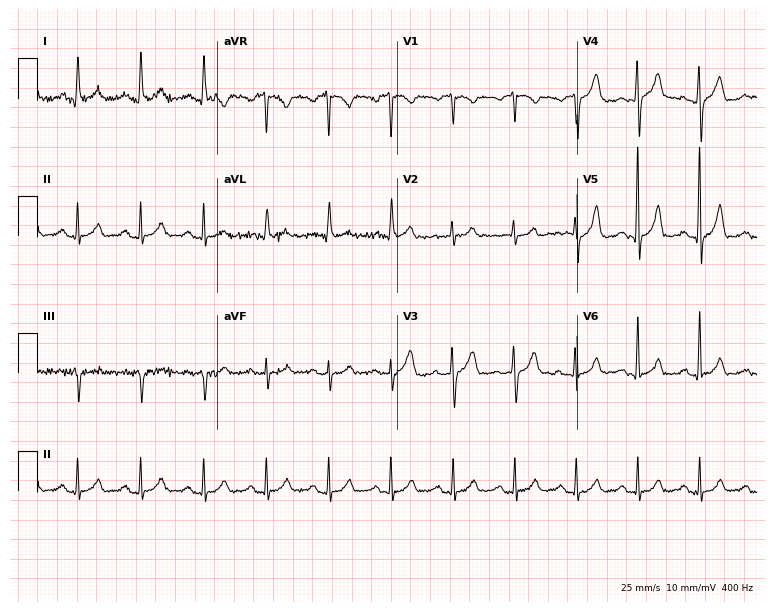
12-lead ECG from a female, 54 years old (7.3-second recording at 400 Hz). Recorded interpretation: within normal limits.